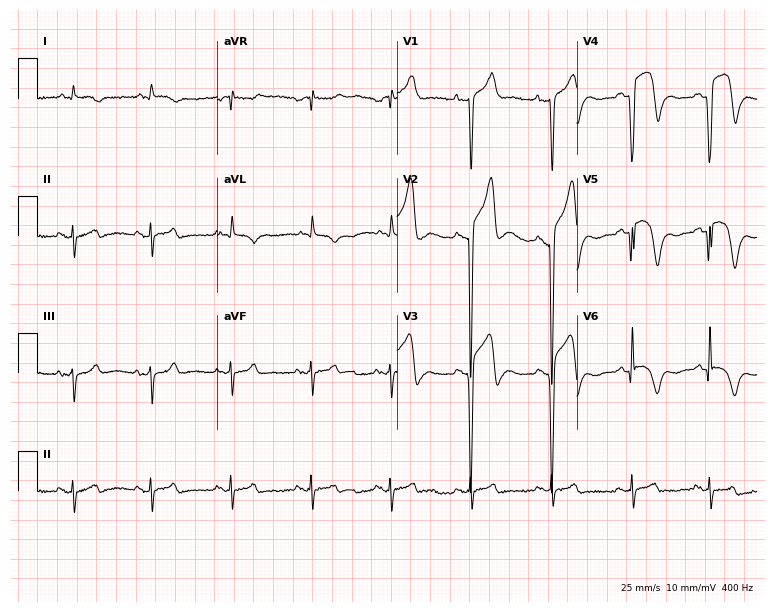
12-lead ECG from a male patient, 72 years old (7.3-second recording at 400 Hz). No first-degree AV block, right bundle branch block, left bundle branch block, sinus bradycardia, atrial fibrillation or sinus tachycardia recorded for this tracing. Only these six findings were labelled.